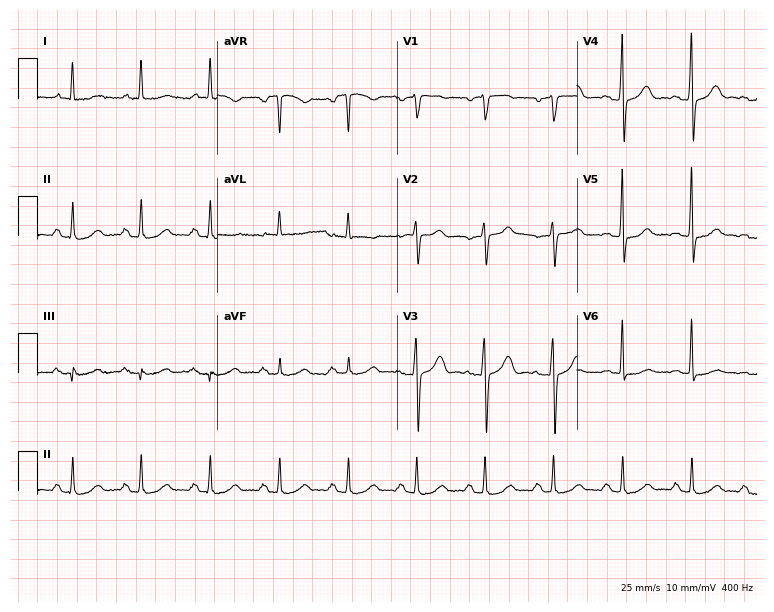
Standard 12-lead ECG recorded from a female, 71 years old (7.3-second recording at 400 Hz). None of these six findings is recorded: first-degree AV block, right bundle branch block (RBBB), left bundle branch block (LBBB), sinus bradycardia, atrial fibrillation (AF), sinus tachycardia.